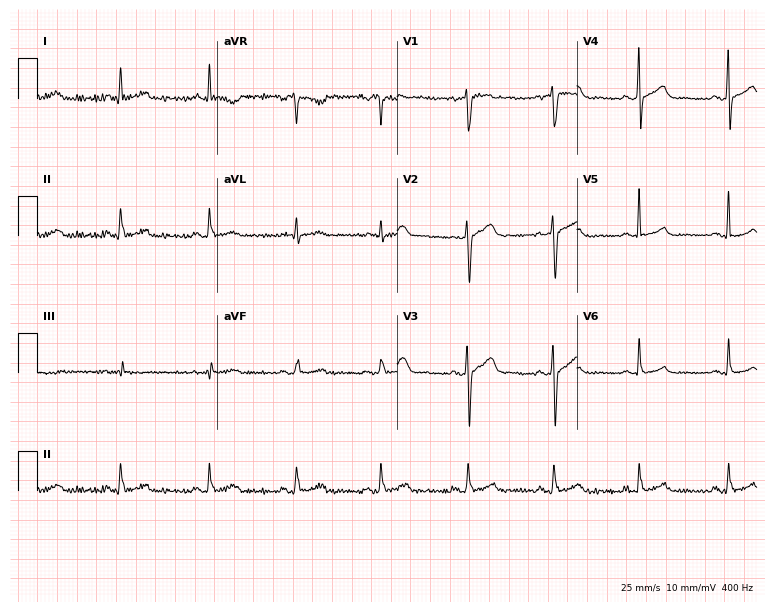
12-lead ECG (7.3-second recording at 400 Hz) from a man, 42 years old. Screened for six findings — first-degree AV block, right bundle branch block (RBBB), left bundle branch block (LBBB), sinus bradycardia, atrial fibrillation (AF), sinus tachycardia — none is recorded.